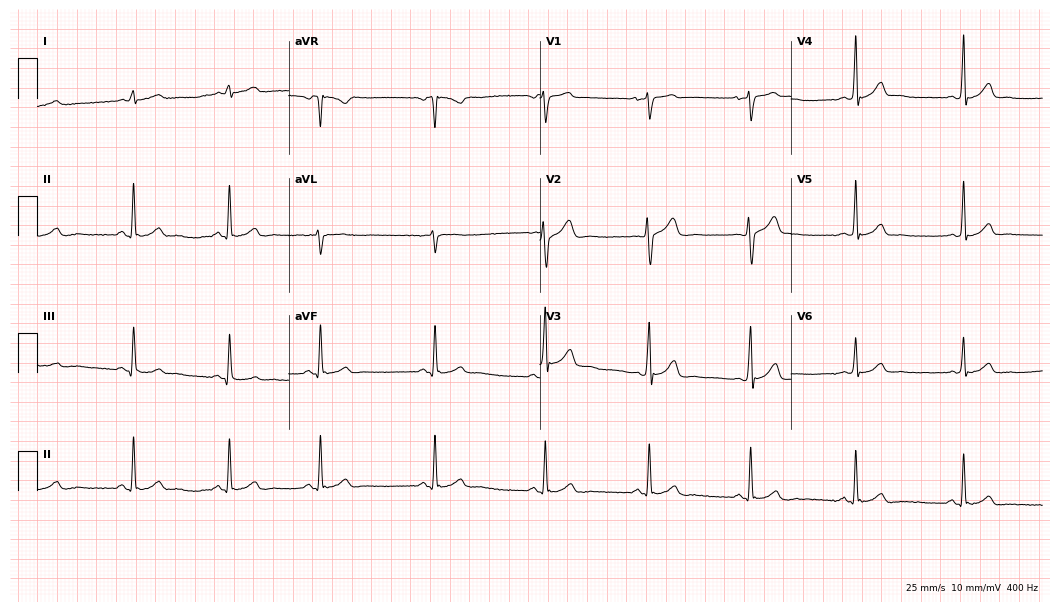
Standard 12-lead ECG recorded from a 22-year-old male. Read as a normal ECG.